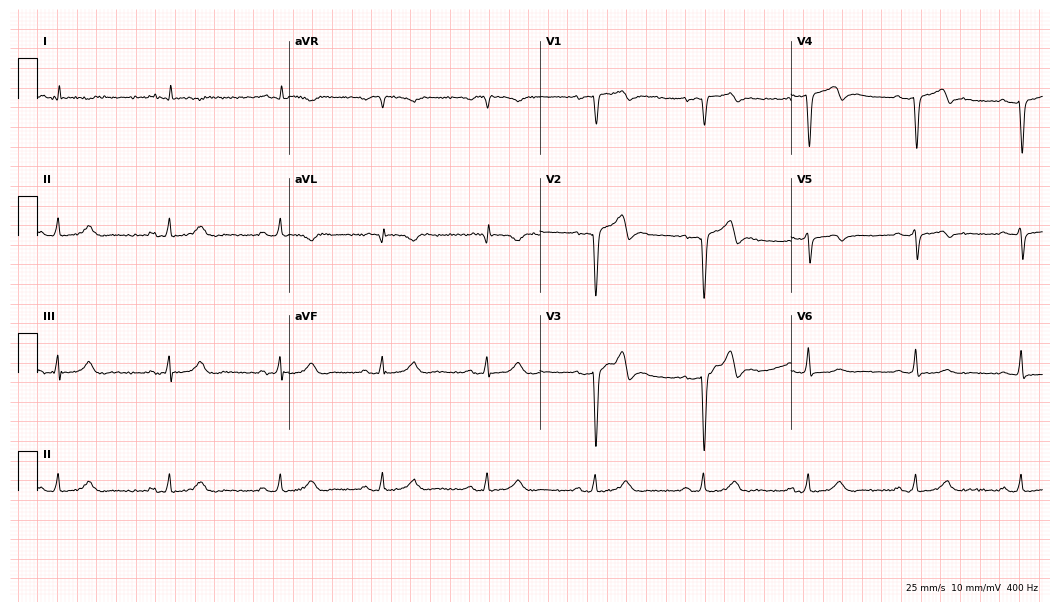
Standard 12-lead ECG recorded from a male, 55 years old (10.2-second recording at 400 Hz). None of these six findings is recorded: first-degree AV block, right bundle branch block, left bundle branch block, sinus bradycardia, atrial fibrillation, sinus tachycardia.